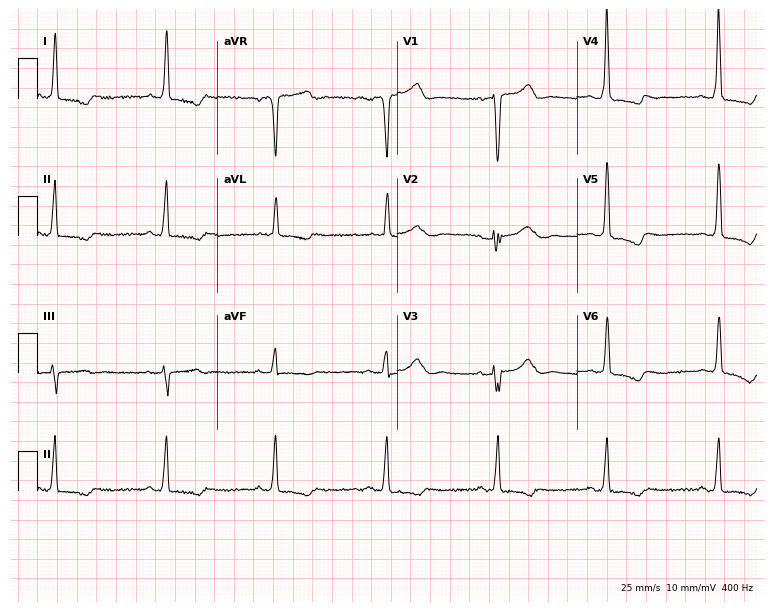
Standard 12-lead ECG recorded from a female, 67 years old (7.3-second recording at 400 Hz). None of these six findings is recorded: first-degree AV block, right bundle branch block, left bundle branch block, sinus bradycardia, atrial fibrillation, sinus tachycardia.